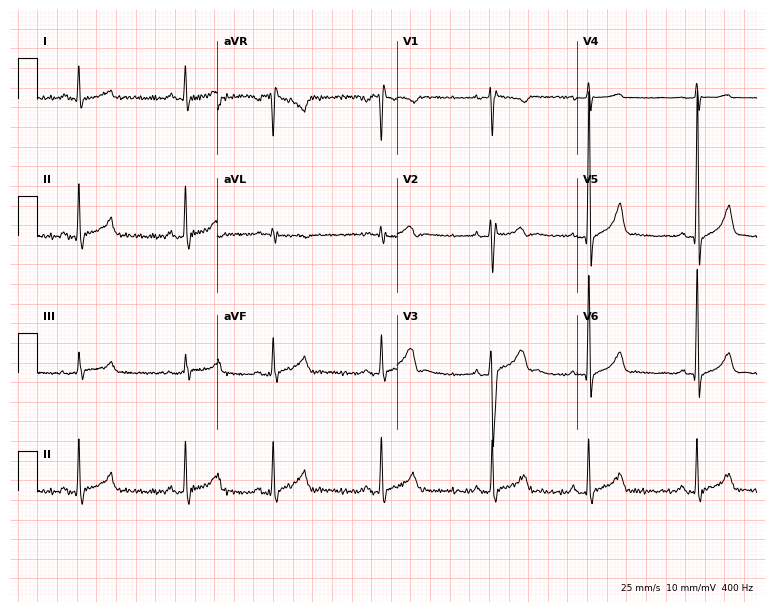
ECG (7.3-second recording at 400 Hz) — a 27-year-old male patient. Labelled as a normal ECG.